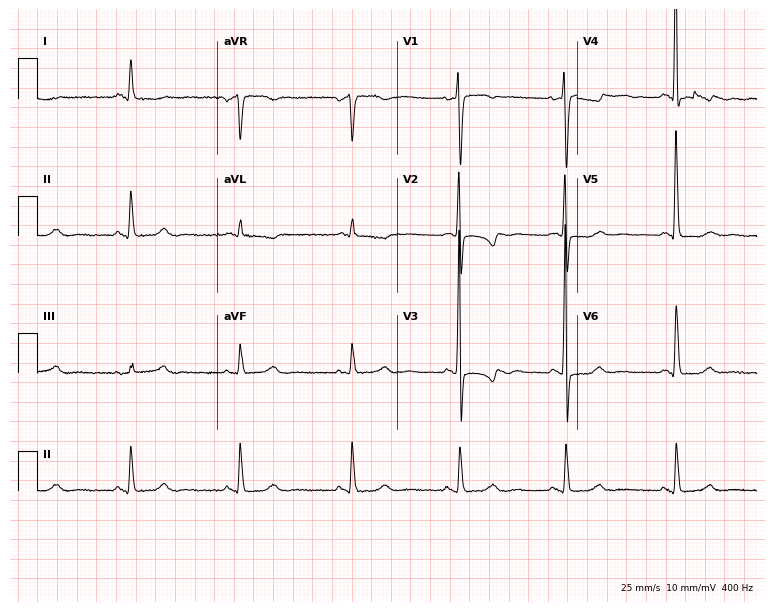
ECG (7.3-second recording at 400 Hz) — a 53-year-old female patient. Screened for six findings — first-degree AV block, right bundle branch block (RBBB), left bundle branch block (LBBB), sinus bradycardia, atrial fibrillation (AF), sinus tachycardia — none is recorded.